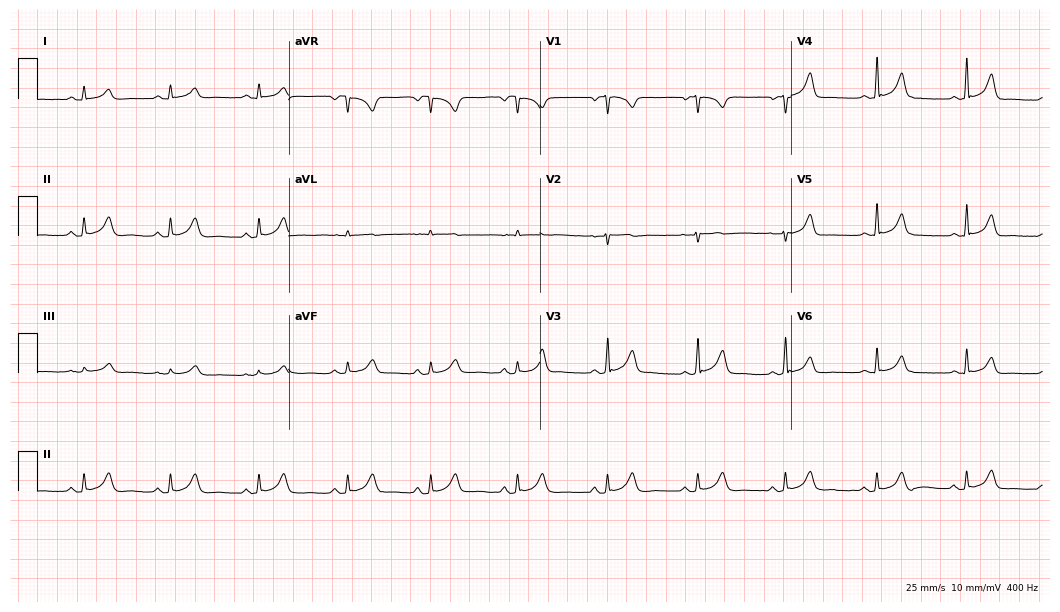
Electrocardiogram, a female patient, 18 years old. Overall reading on record: normal ECG.